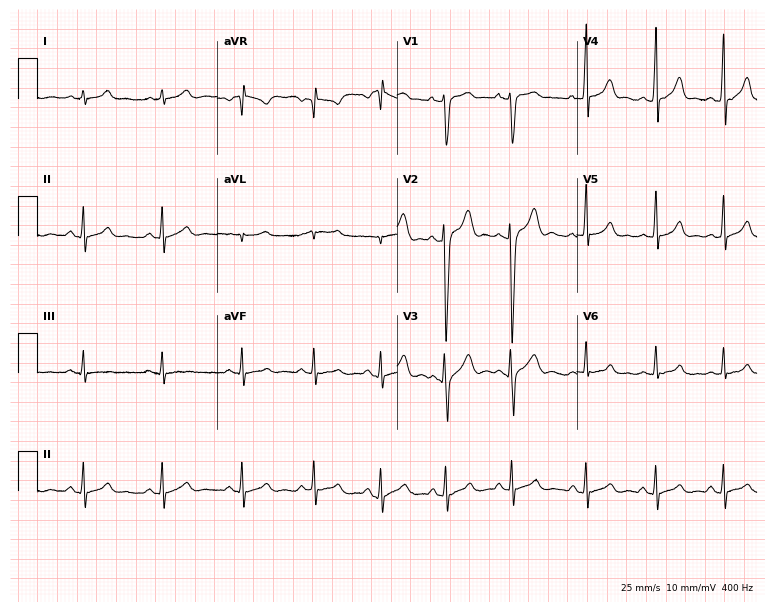
12-lead ECG (7.3-second recording at 400 Hz) from a male patient, 17 years old. Screened for six findings — first-degree AV block, right bundle branch block, left bundle branch block, sinus bradycardia, atrial fibrillation, sinus tachycardia — none is recorded.